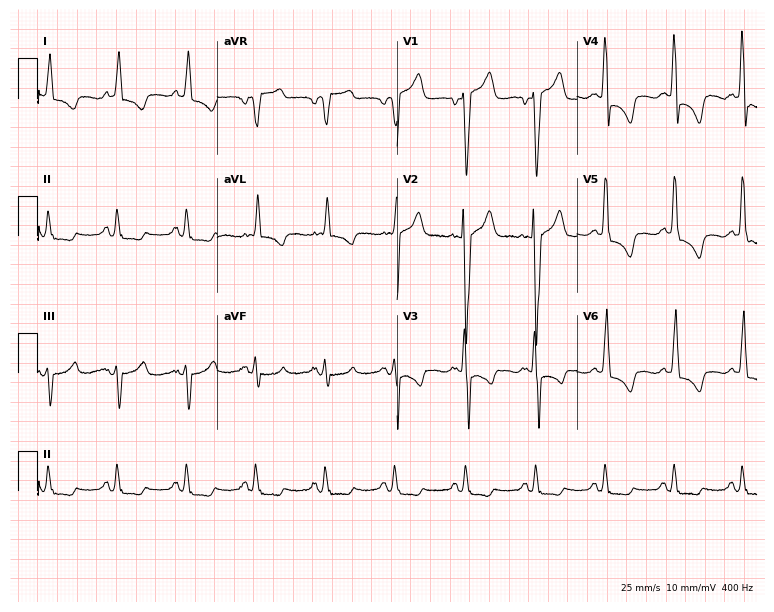
Electrocardiogram, a 75-year-old male patient. Of the six screened findings (first-degree AV block, right bundle branch block, left bundle branch block, sinus bradycardia, atrial fibrillation, sinus tachycardia), none is recorded.